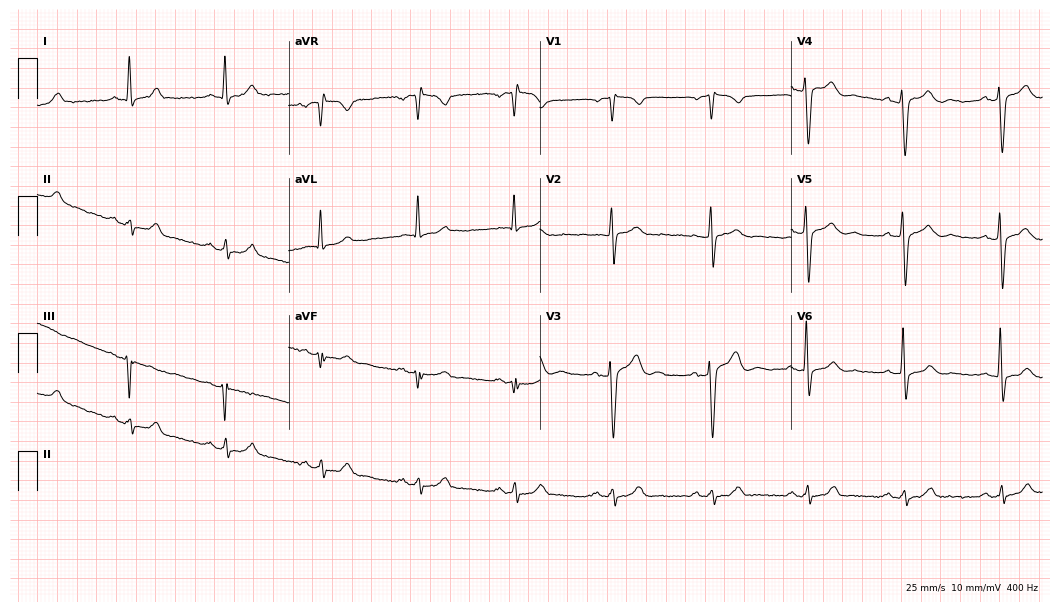
Resting 12-lead electrocardiogram (10.2-second recording at 400 Hz). Patient: a 51-year-old male. Read as a normal ECG.